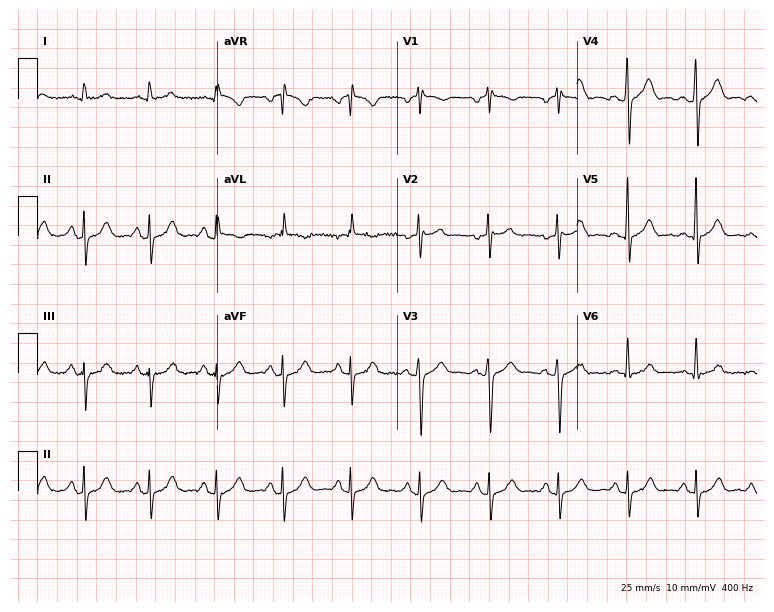
12-lead ECG from a 52-year-old male. No first-degree AV block, right bundle branch block, left bundle branch block, sinus bradycardia, atrial fibrillation or sinus tachycardia recorded for this tracing. Findings outside these six are not listed.